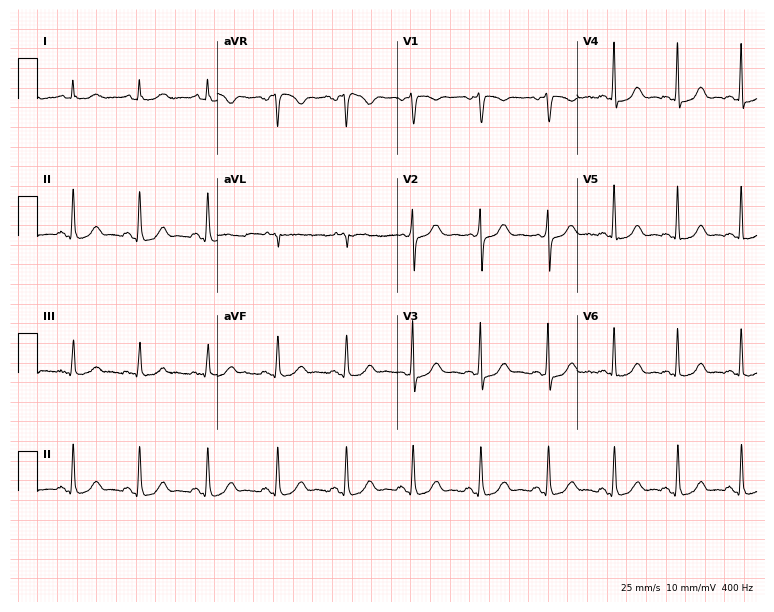
12-lead ECG from a 37-year-old female (7.3-second recording at 400 Hz). Recorded interpretation: within normal limits.